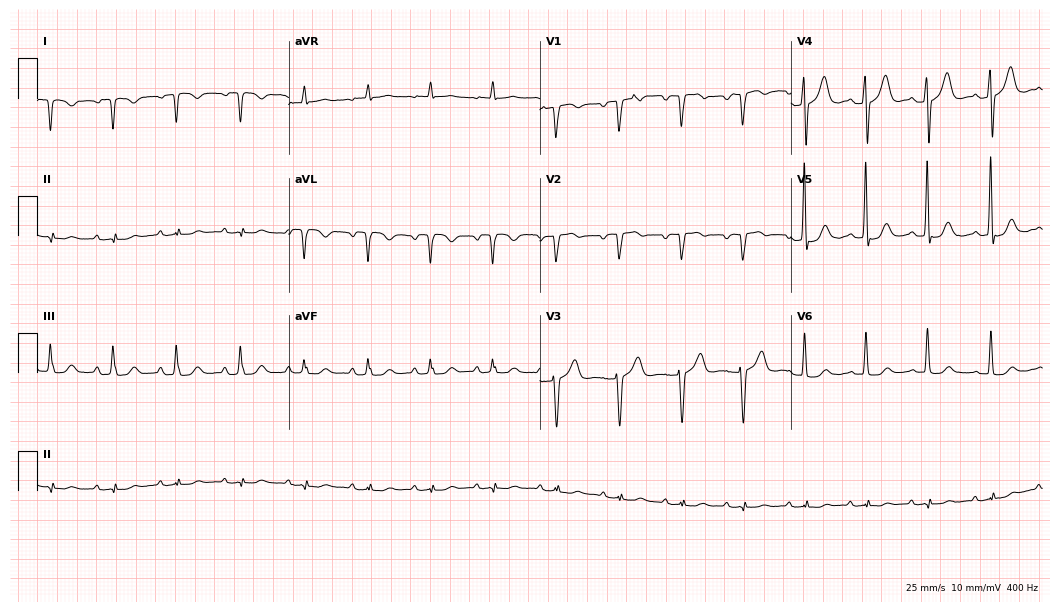
ECG — a 68-year-old female patient. Screened for six findings — first-degree AV block, right bundle branch block, left bundle branch block, sinus bradycardia, atrial fibrillation, sinus tachycardia — none is recorded. Findings outside these six are not listed.